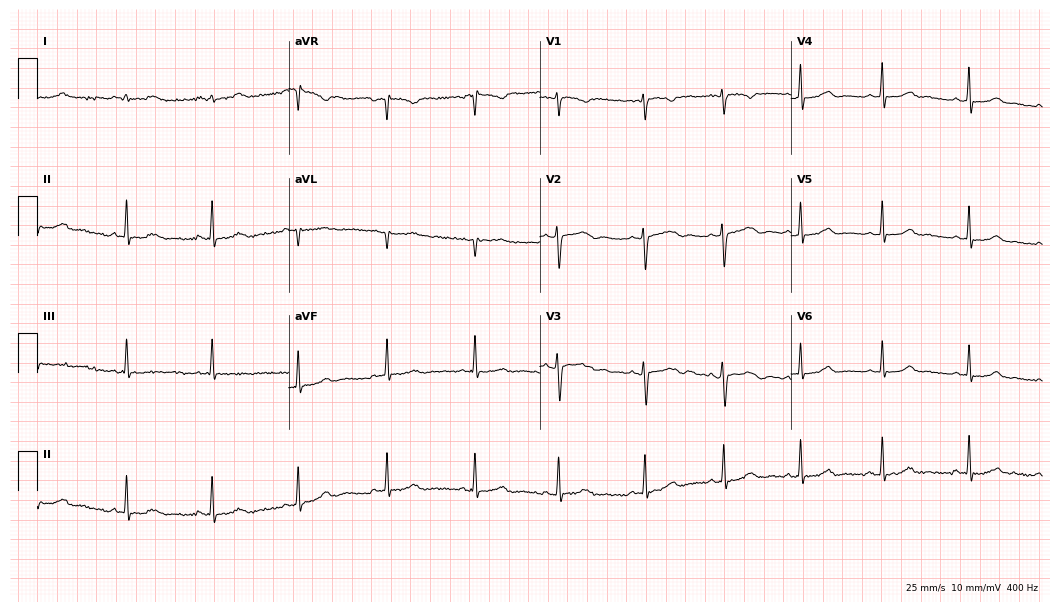
ECG — a woman, 31 years old. Labelled as a normal ECG.